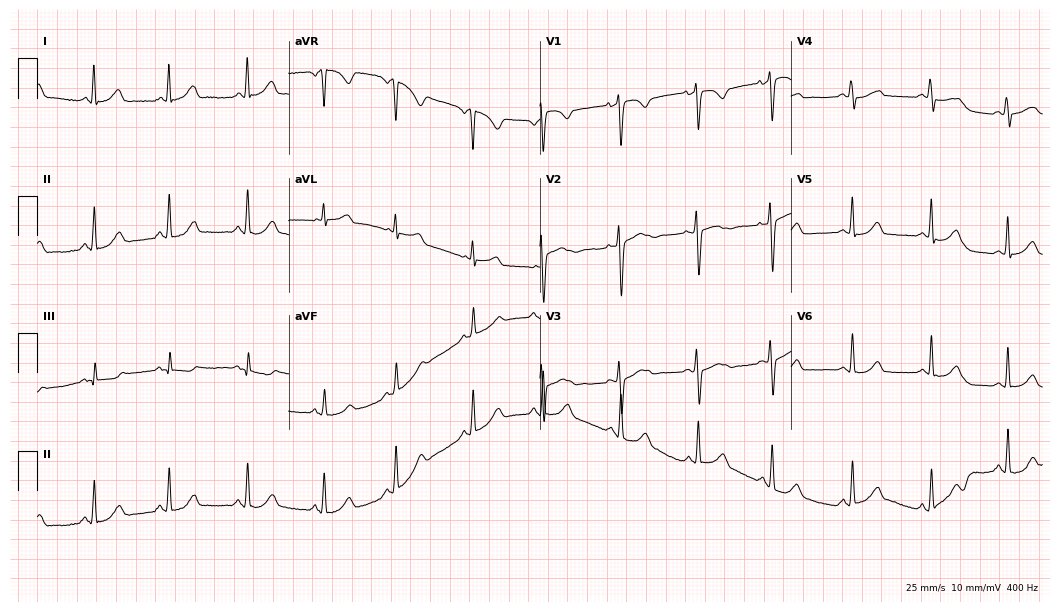
12-lead ECG from a female, 23 years old (10.2-second recording at 400 Hz). No first-degree AV block, right bundle branch block, left bundle branch block, sinus bradycardia, atrial fibrillation or sinus tachycardia recorded for this tracing. Only these six findings were labelled.